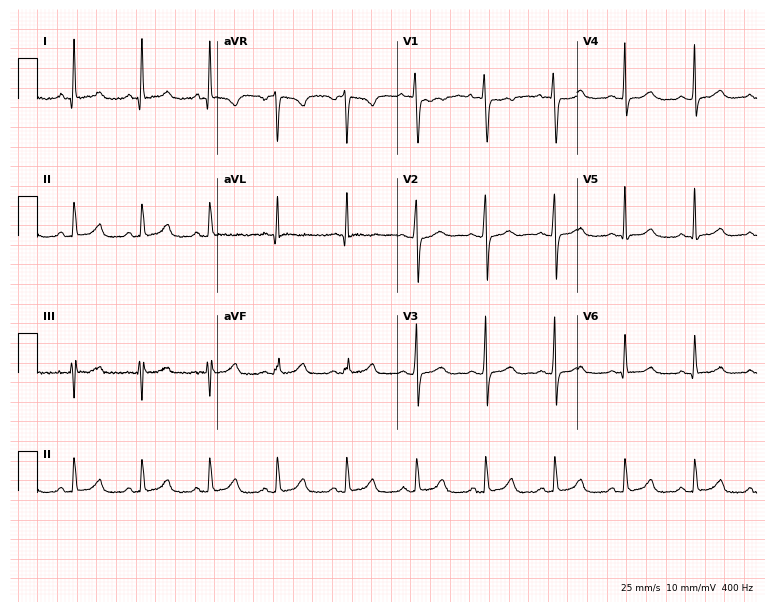
Electrocardiogram (7.3-second recording at 400 Hz), a 39-year-old woman. Overall reading on record: normal ECG.